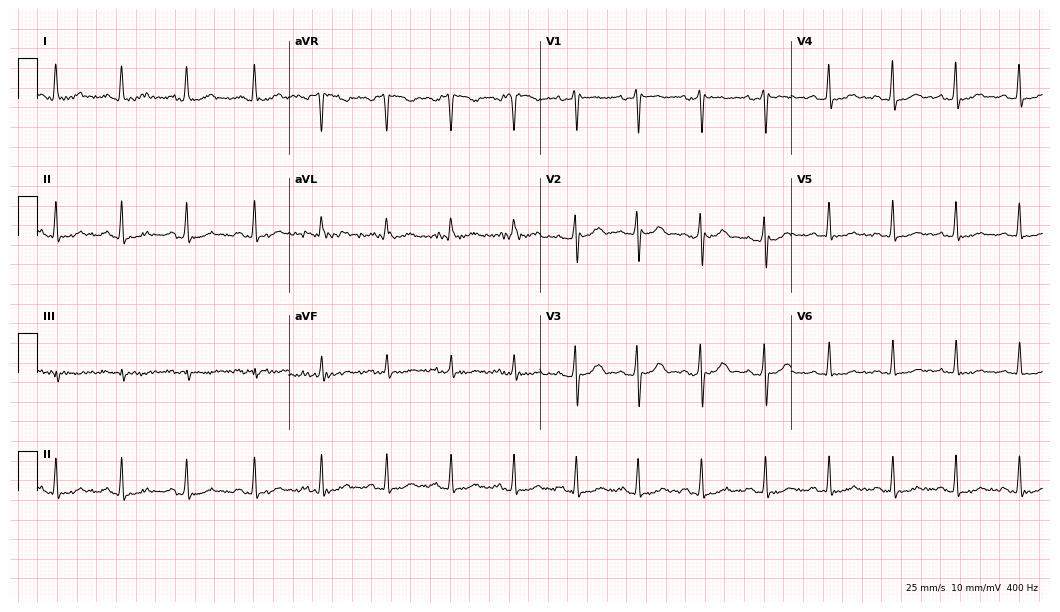
Resting 12-lead electrocardiogram (10.2-second recording at 400 Hz). Patient: a female, 22 years old. Read as a normal ECG.